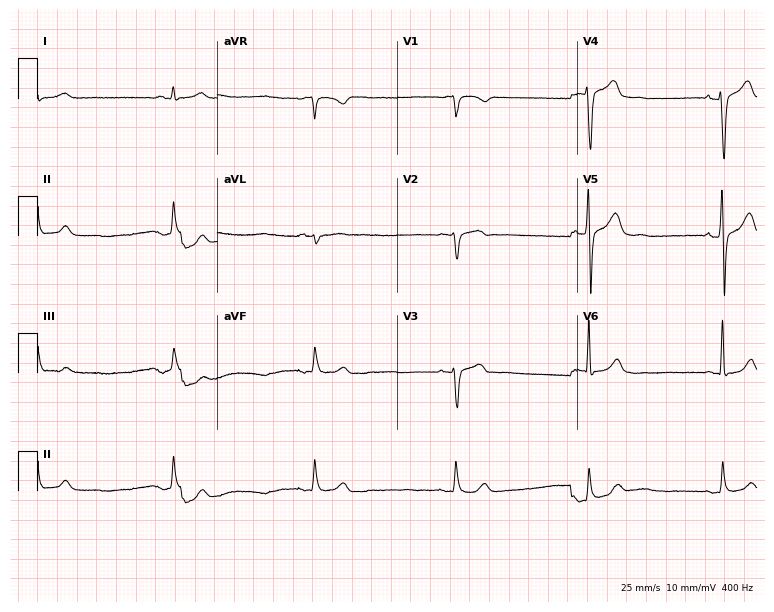
12-lead ECG from a male, 58 years old (7.3-second recording at 400 Hz). Shows sinus bradycardia (a sinus rate of 50 beats per minute or less).